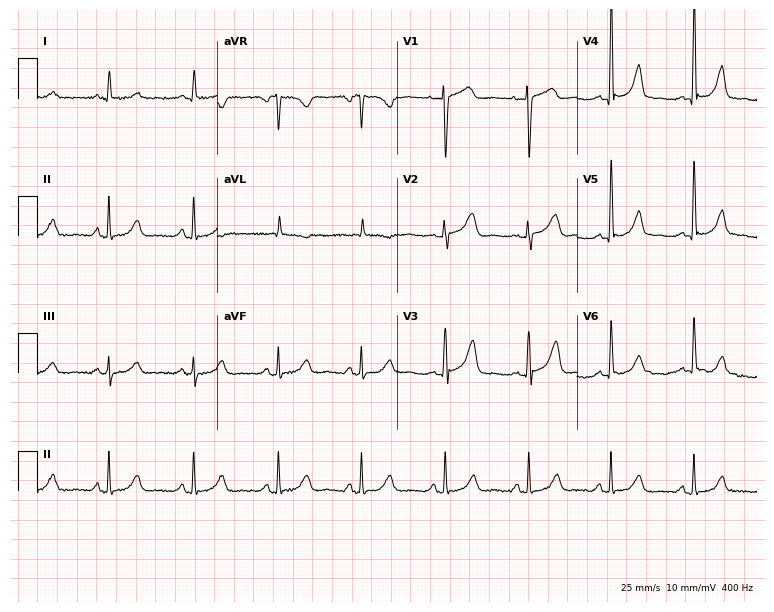
Electrocardiogram (7.3-second recording at 400 Hz), a female, 60 years old. Overall reading on record: normal ECG.